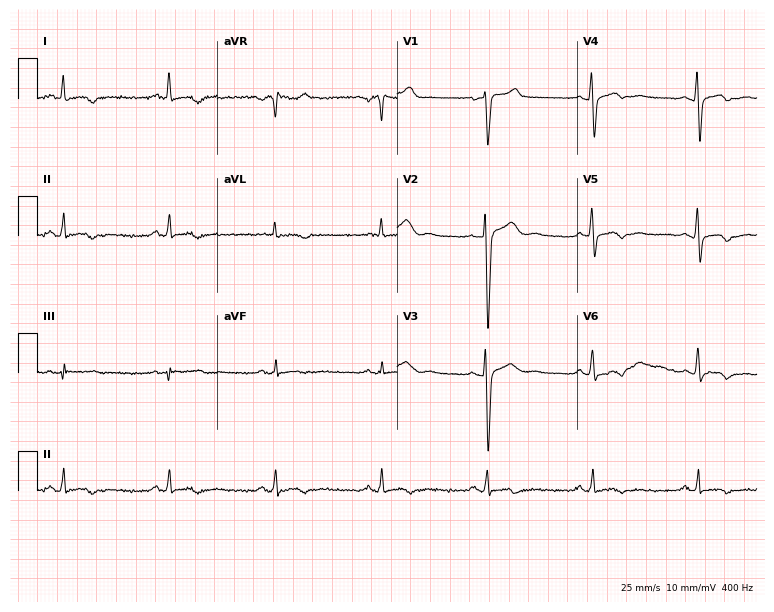
ECG — a man, 59 years old. Screened for six findings — first-degree AV block, right bundle branch block, left bundle branch block, sinus bradycardia, atrial fibrillation, sinus tachycardia — none is recorded.